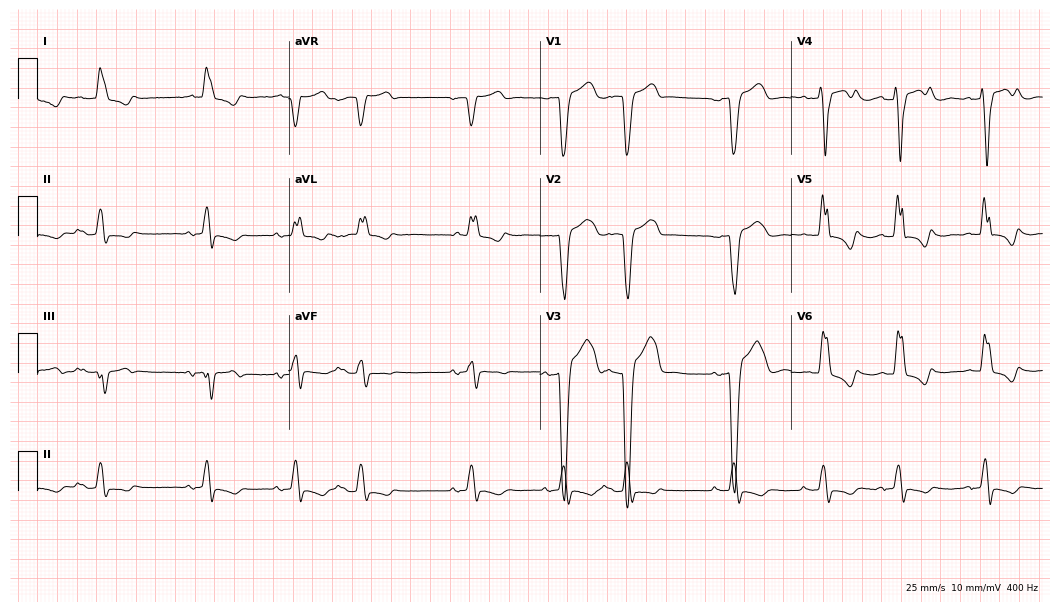
Resting 12-lead electrocardiogram. Patient: a male, 78 years old. The tracing shows left bundle branch block.